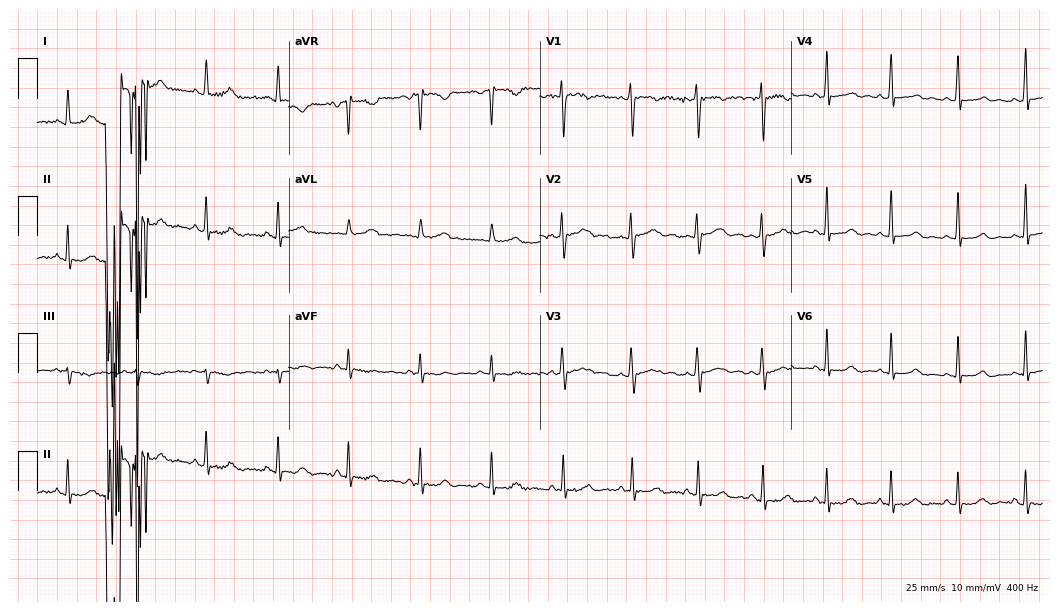
12-lead ECG from a woman, 24 years old. Screened for six findings — first-degree AV block, right bundle branch block, left bundle branch block, sinus bradycardia, atrial fibrillation, sinus tachycardia — none is recorded.